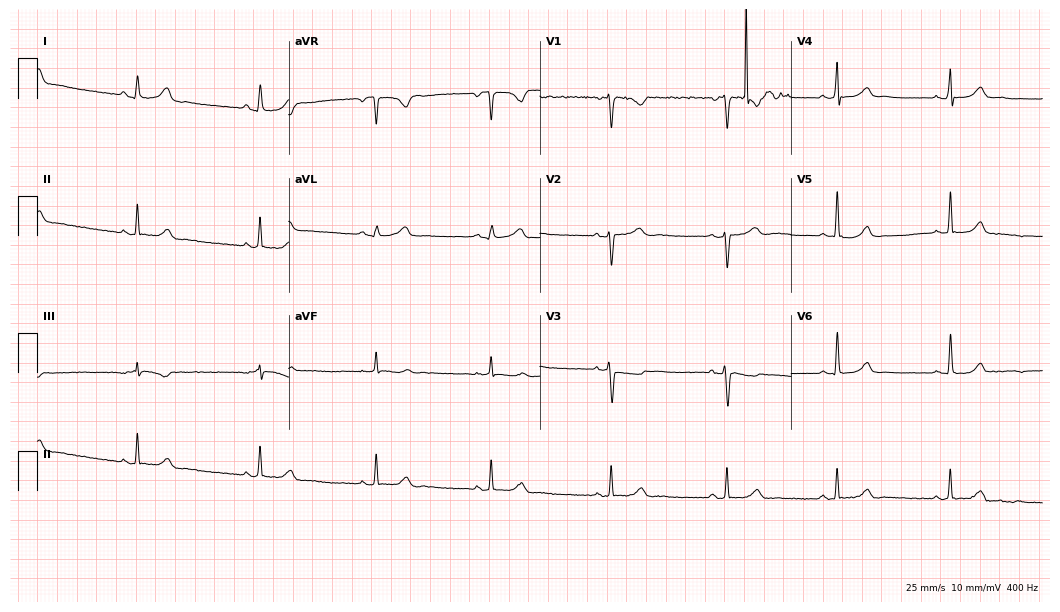
Resting 12-lead electrocardiogram. Patient: a 36-year-old female. The tracing shows sinus bradycardia (a sinus rate of 50 beats per minute or less).